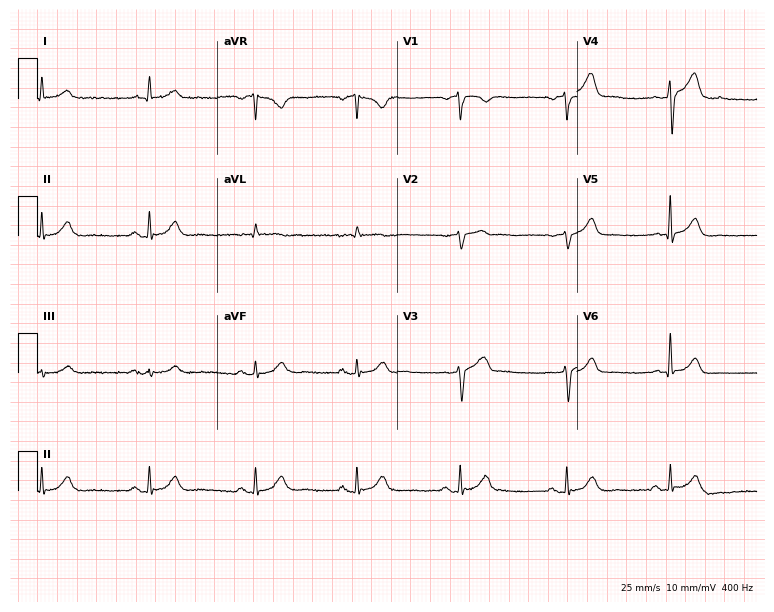
Resting 12-lead electrocardiogram (7.3-second recording at 400 Hz). Patient: a 22-year-old male. None of these six findings is recorded: first-degree AV block, right bundle branch block, left bundle branch block, sinus bradycardia, atrial fibrillation, sinus tachycardia. Only these six findings were labelled.